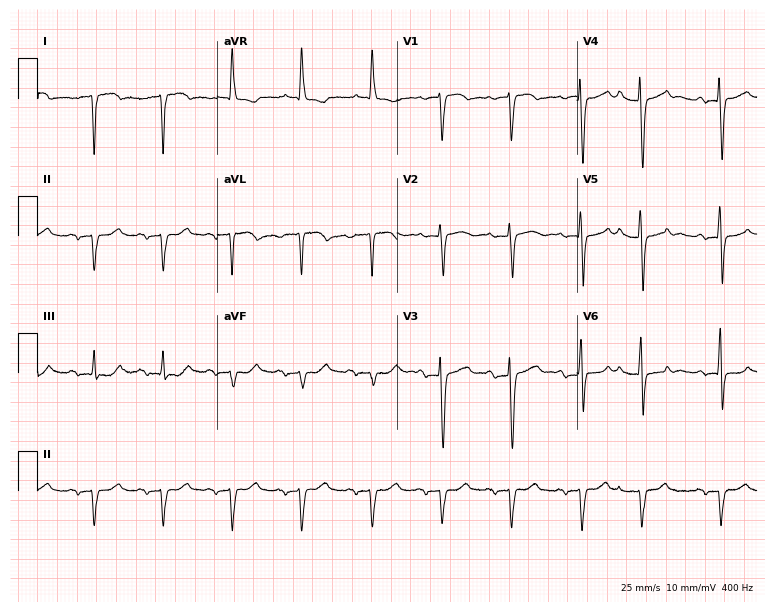
12-lead ECG from a 75-year-old female patient (7.3-second recording at 400 Hz). Recorded interpretation: within normal limits.